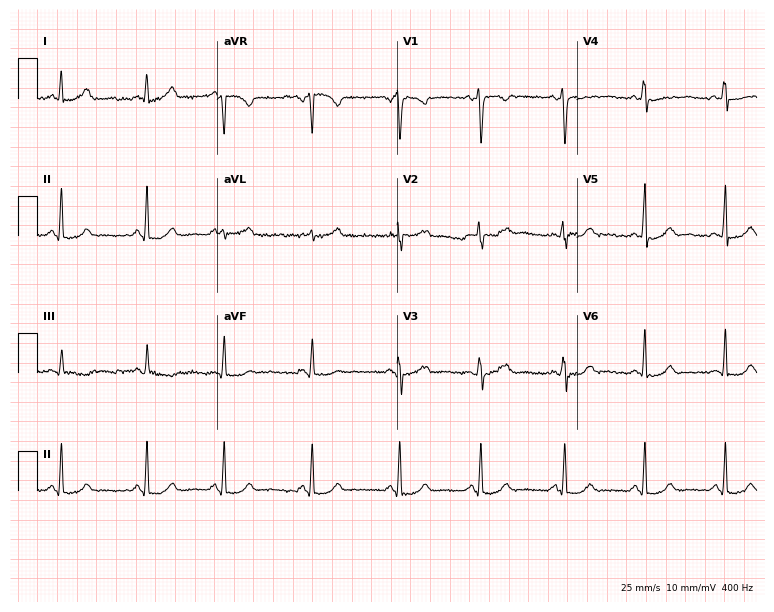
12-lead ECG from a 27-year-old female patient. Labelled as a normal ECG.